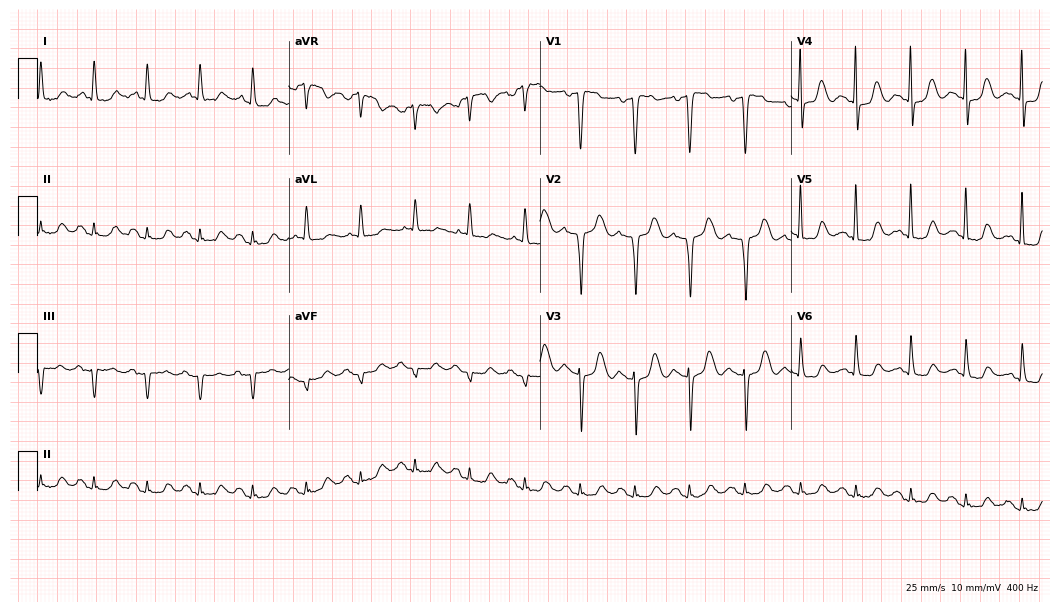
ECG — a female, 68 years old. Findings include sinus tachycardia (a sinus rate of 100 beats per minute or more).